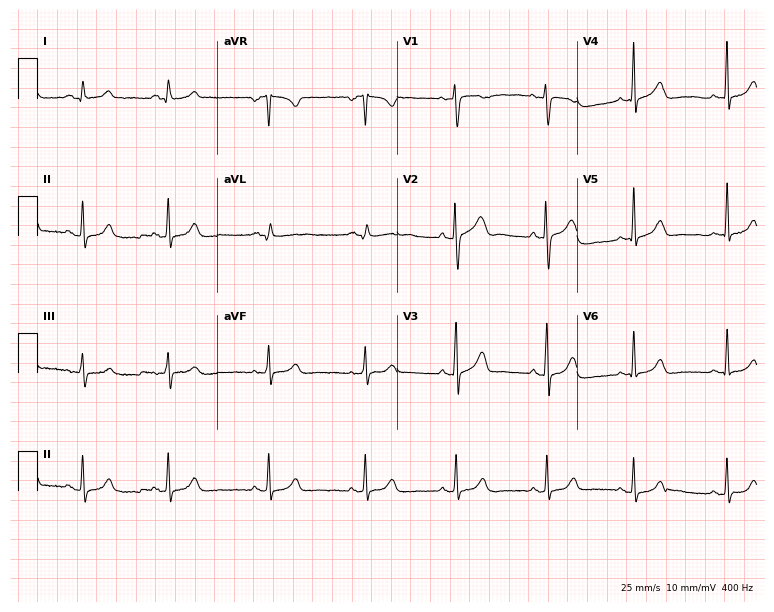
Electrocardiogram (7.3-second recording at 400 Hz), a woman, 24 years old. Overall reading on record: normal ECG.